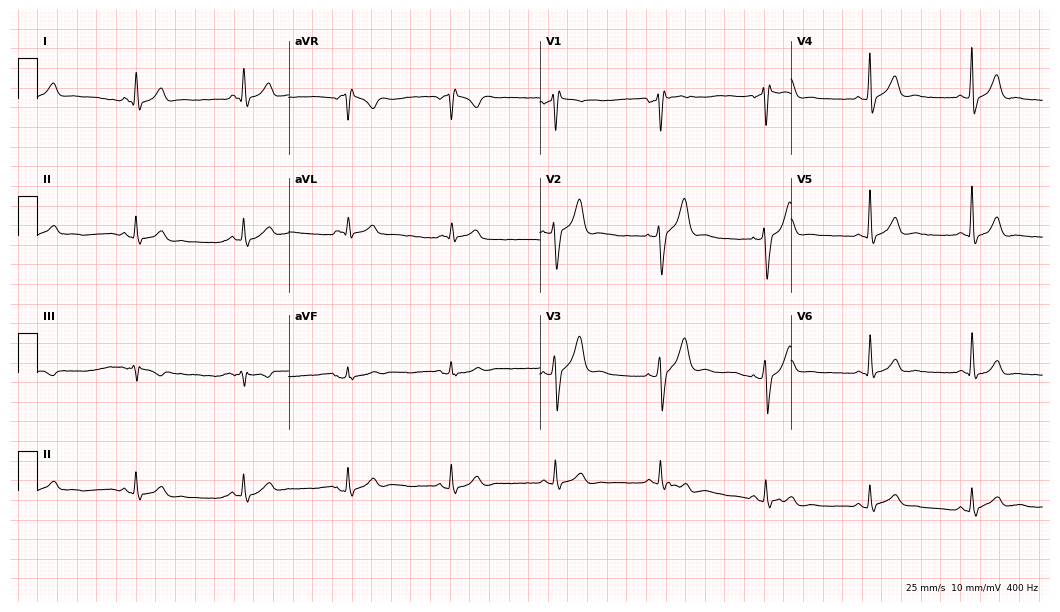
12-lead ECG (10.2-second recording at 400 Hz) from a 38-year-old male patient. Screened for six findings — first-degree AV block, right bundle branch block (RBBB), left bundle branch block (LBBB), sinus bradycardia, atrial fibrillation (AF), sinus tachycardia — none is recorded.